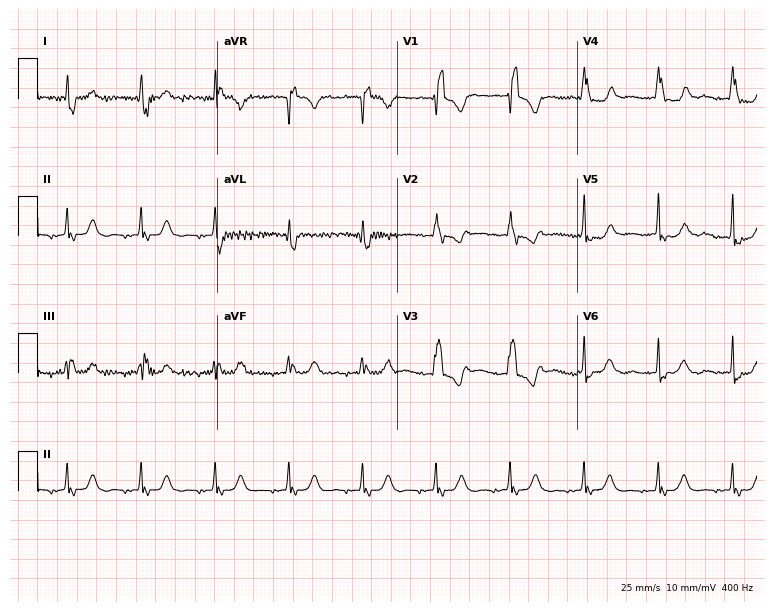
Standard 12-lead ECG recorded from a female, 38 years old (7.3-second recording at 400 Hz). None of these six findings is recorded: first-degree AV block, right bundle branch block (RBBB), left bundle branch block (LBBB), sinus bradycardia, atrial fibrillation (AF), sinus tachycardia. Findings outside these six are not listed.